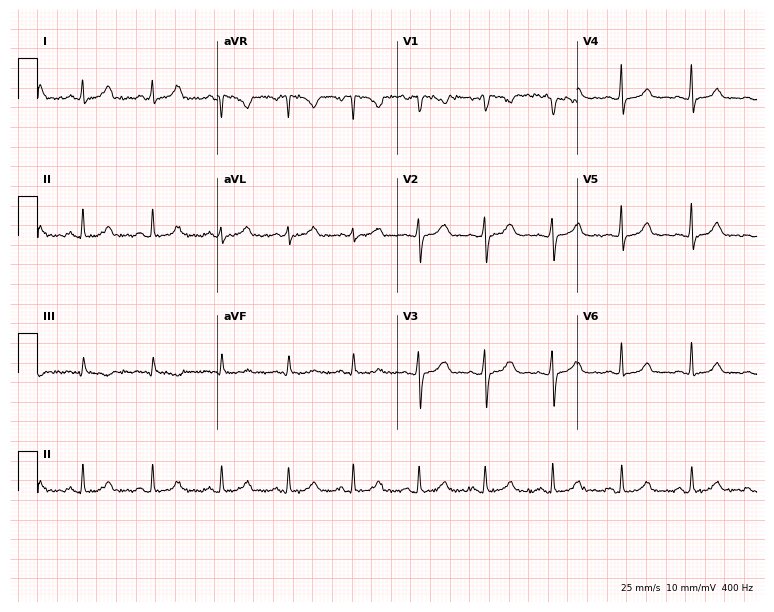
Standard 12-lead ECG recorded from a woman, 29 years old. Read as a normal ECG.